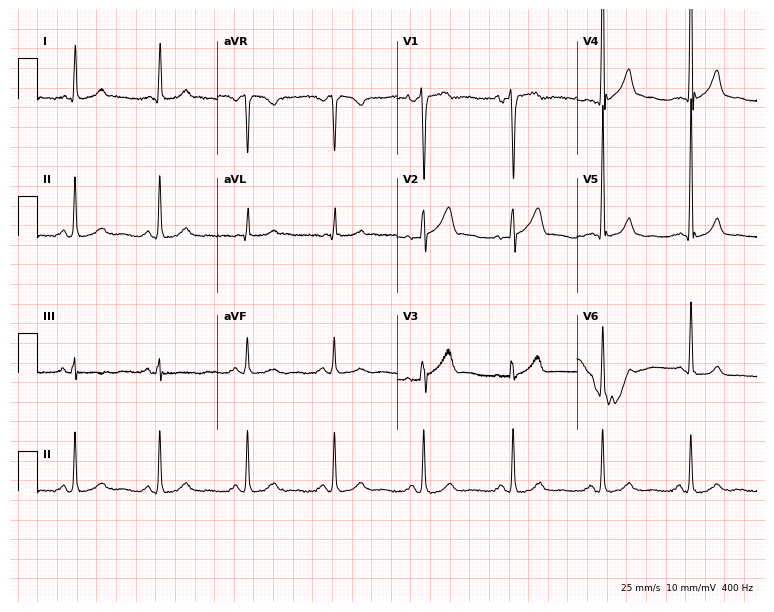
Resting 12-lead electrocardiogram. Patient: a 46-year-old man. None of these six findings is recorded: first-degree AV block, right bundle branch block, left bundle branch block, sinus bradycardia, atrial fibrillation, sinus tachycardia. Other findings, if any, are not listed.